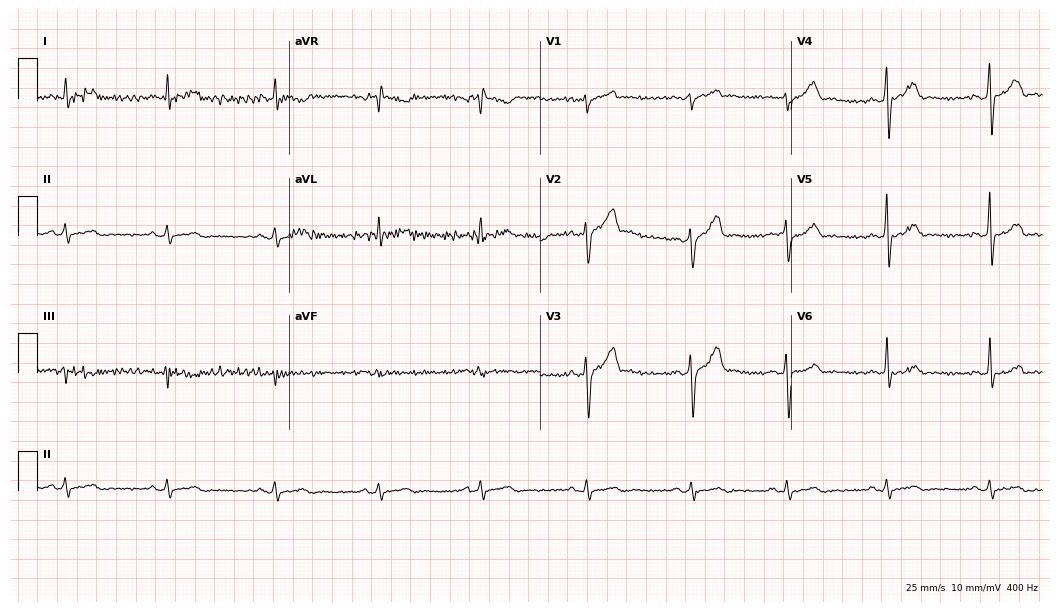
ECG (10.2-second recording at 400 Hz) — a 33-year-old man. Labelled as a normal ECG.